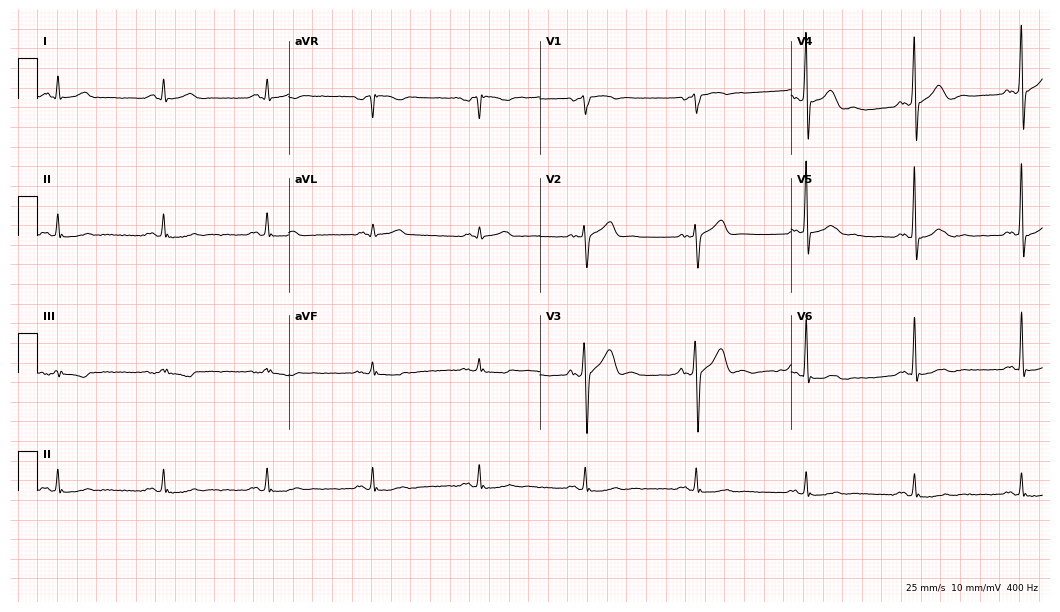
12-lead ECG (10.2-second recording at 400 Hz) from a male, 57 years old. Labelled as a normal ECG.